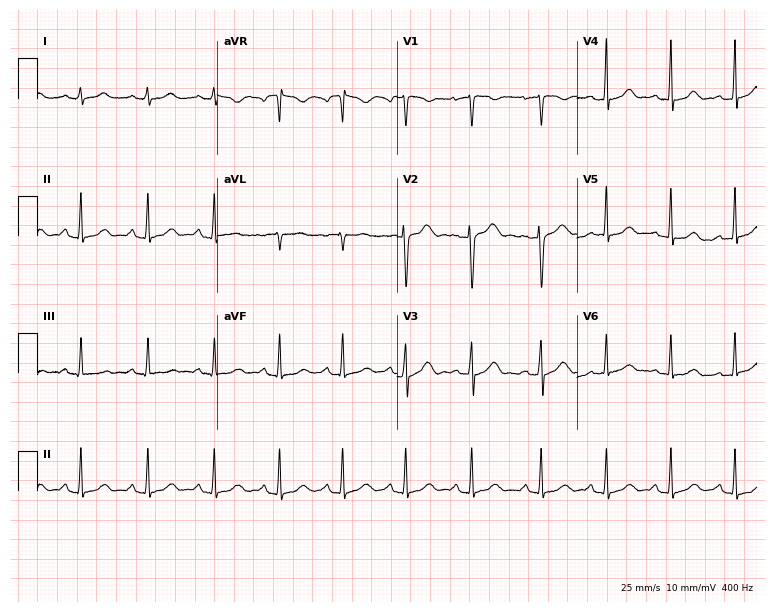
Electrocardiogram (7.3-second recording at 400 Hz), a female, 27 years old. Overall reading on record: normal ECG.